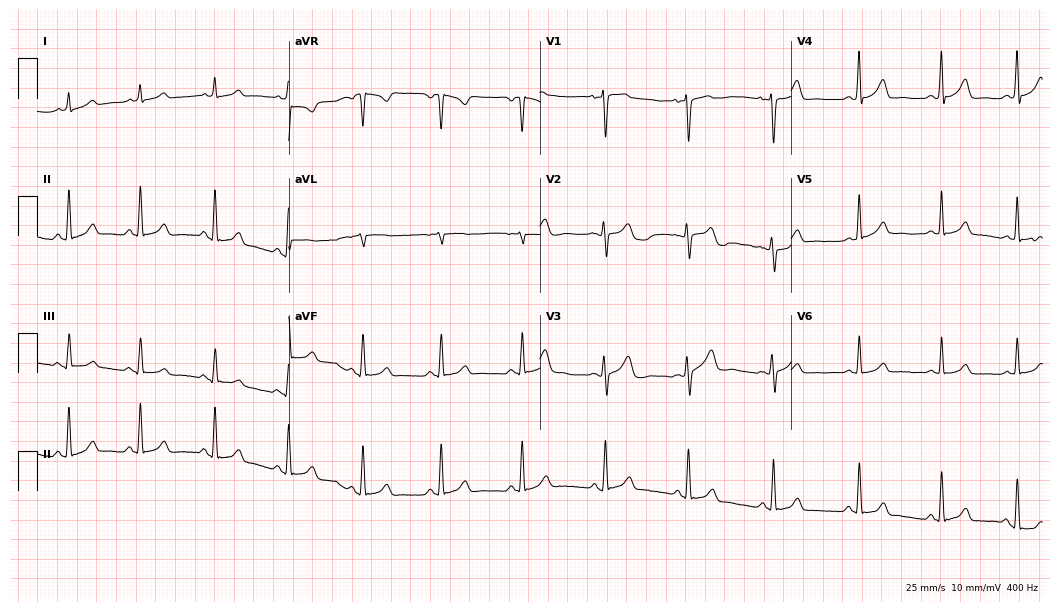
Resting 12-lead electrocardiogram. Patient: a 38-year-old female. Read as a normal ECG.